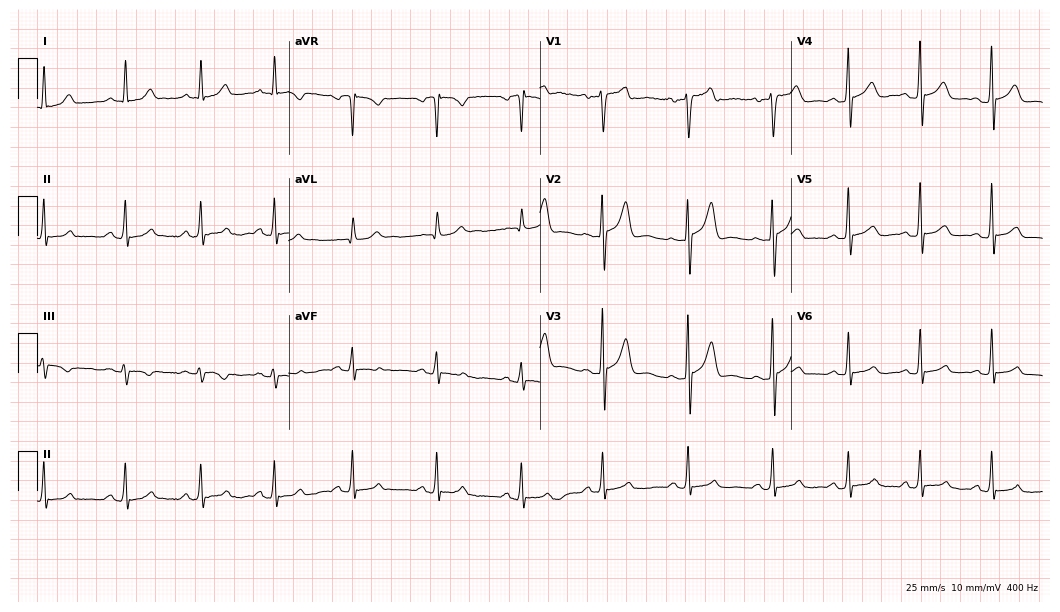
12-lead ECG from a 30-year-old man (10.2-second recording at 400 Hz). No first-degree AV block, right bundle branch block, left bundle branch block, sinus bradycardia, atrial fibrillation or sinus tachycardia recorded for this tracing.